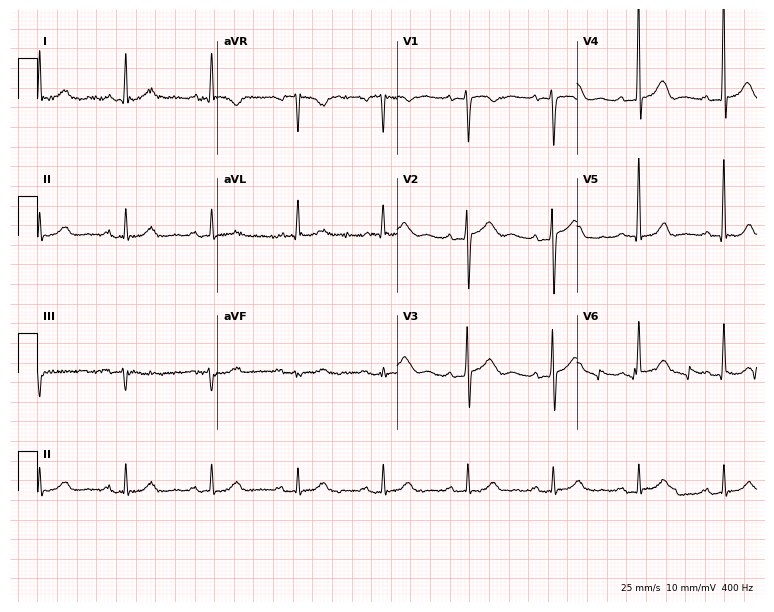
12-lead ECG (7.3-second recording at 400 Hz) from a male, 61 years old. Labelled as a normal ECG.